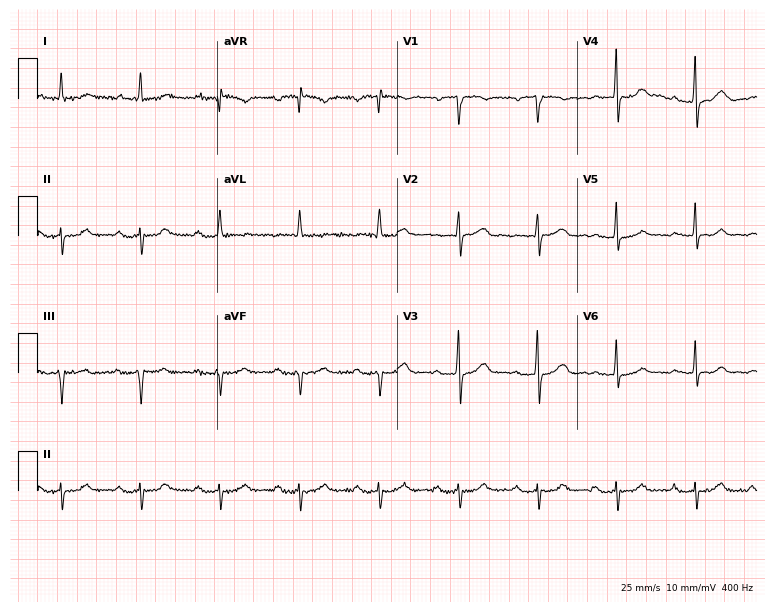
ECG (7.3-second recording at 400 Hz) — a 72-year-old male. Screened for six findings — first-degree AV block, right bundle branch block, left bundle branch block, sinus bradycardia, atrial fibrillation, sinus tachycardia — none is recorded. Only these six findings were labelled.